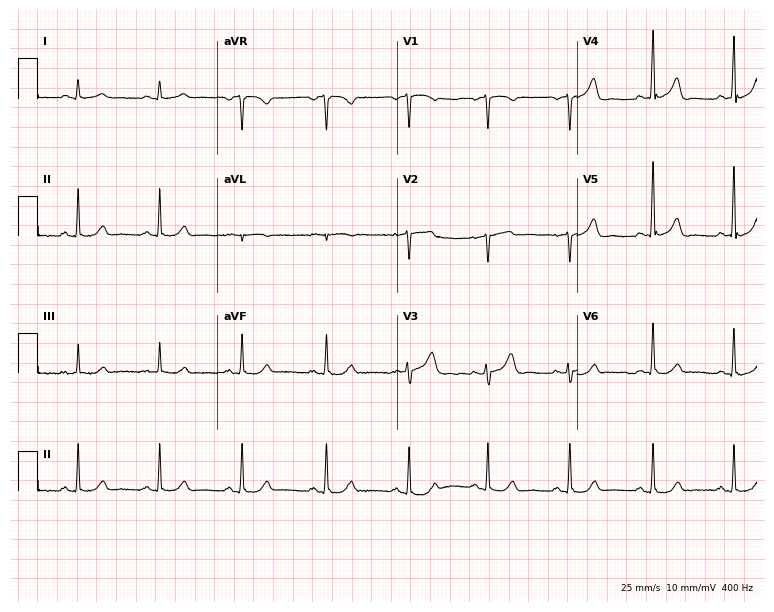
Standard 12-lead ECG recorded from a woman, 65 years old (7.3-second recording at 400 Hz). Read as a normal ECG.